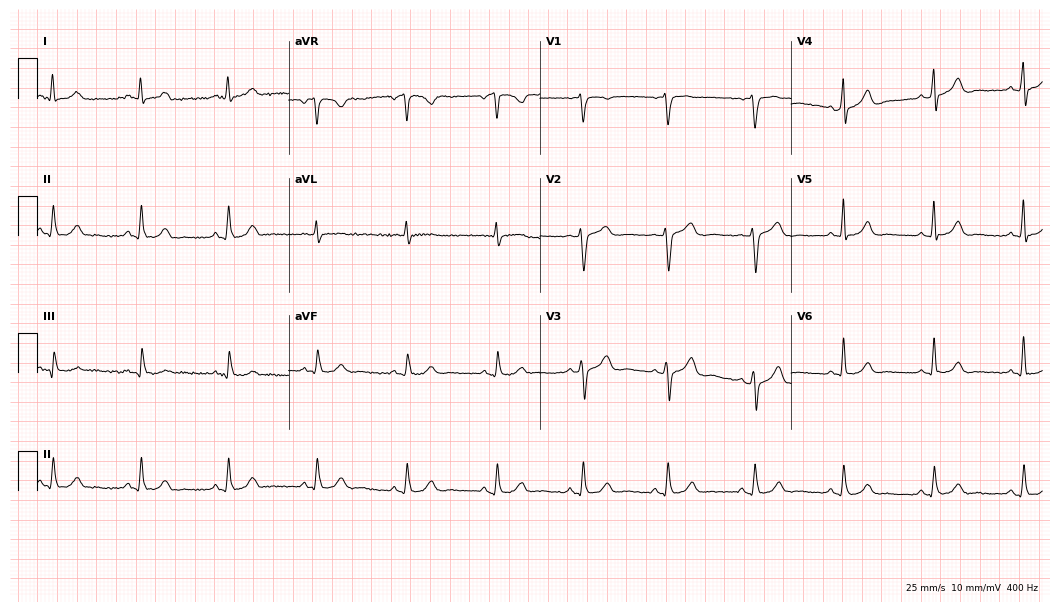
12-lead ECG from a male patient, 56 years old (10.2-second recording at 400 Hz). Recorded interpretation: within normal limits.